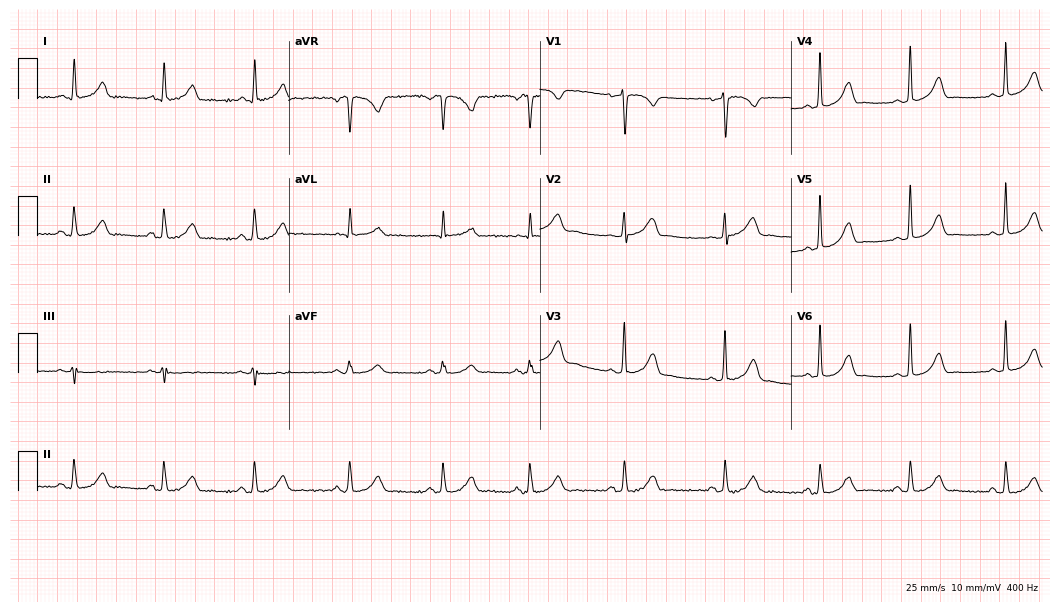
Standard 12-lead ECG recorded from a woman, 44 years old (10.2-second recording at 400 Hz). Read as a normal ECG.